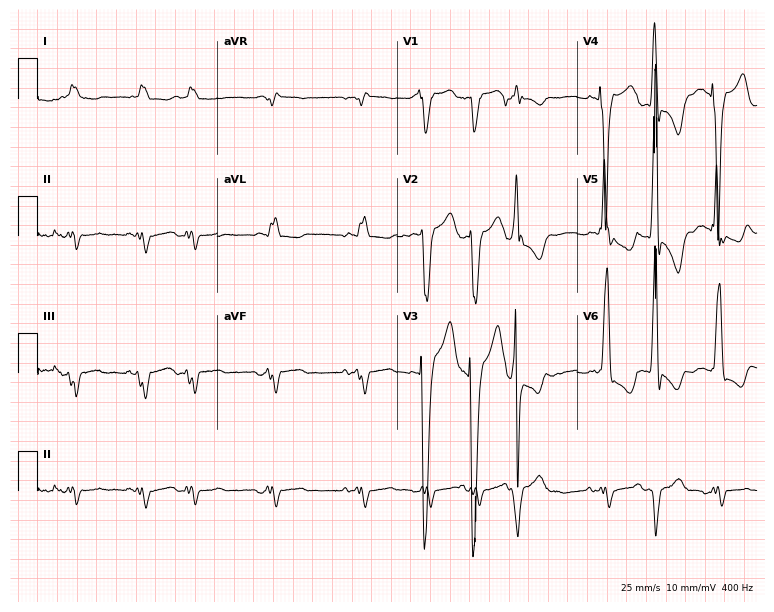
Electrocardiogram, an 83-year-old male. Interpretation includes left bundle branch block.